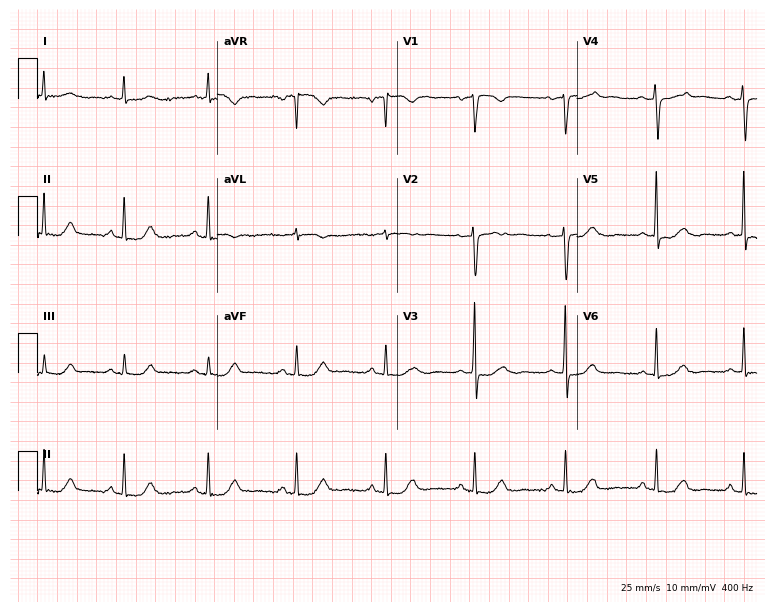
Standard 12-lead ECG recorded from a female, 64 years old. Read as a normal ECG.